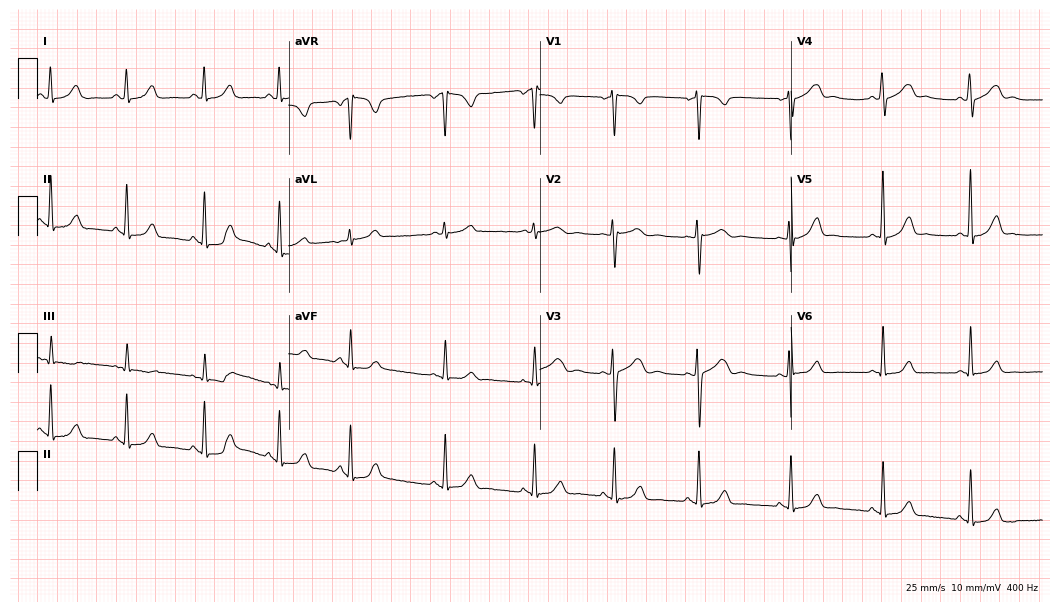
Resting 12-lead electrocardiogram. Patient: a female, 30 years old. None of these six findings is recorded: first-degree AV block, right bundle branch block, left bundle branch block, sinus bradycardia, atrial fibrillation, sinus tachycardia.